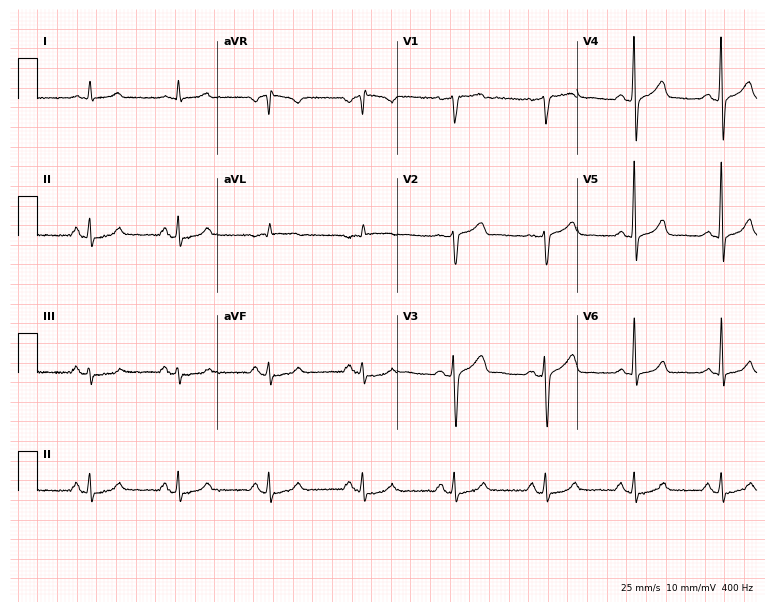
Resting 12-lead electrocardiogram (7.3-second recording at 400 Hz). Patient: a man, 58 years old. Read as a normal ECG.